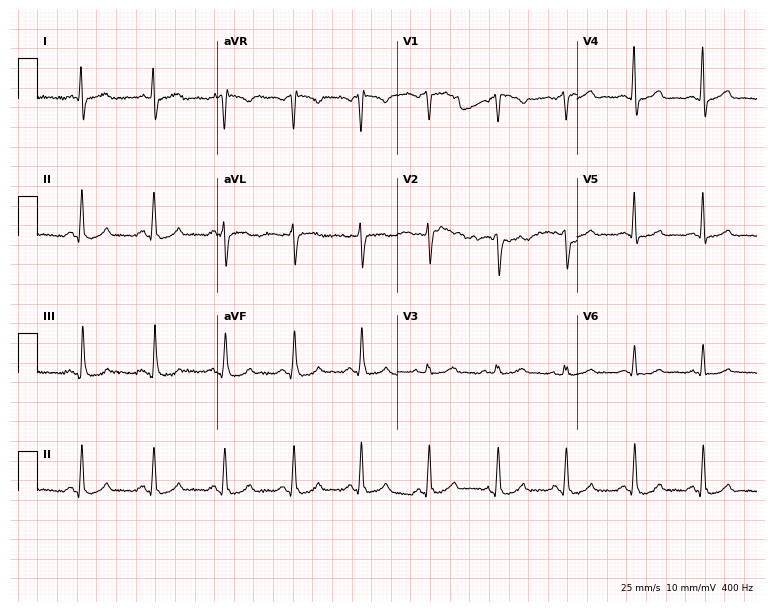
12-lead ECG from a male, 50 years old. No first-degree AV block, right bundle branch block (RBBB), left bundle branch block (LBBB), sinus bradycardia, atrial fibrillation (AF) or sinus tachycardia recorded for this tracing. Other findings, if any, are not listed.